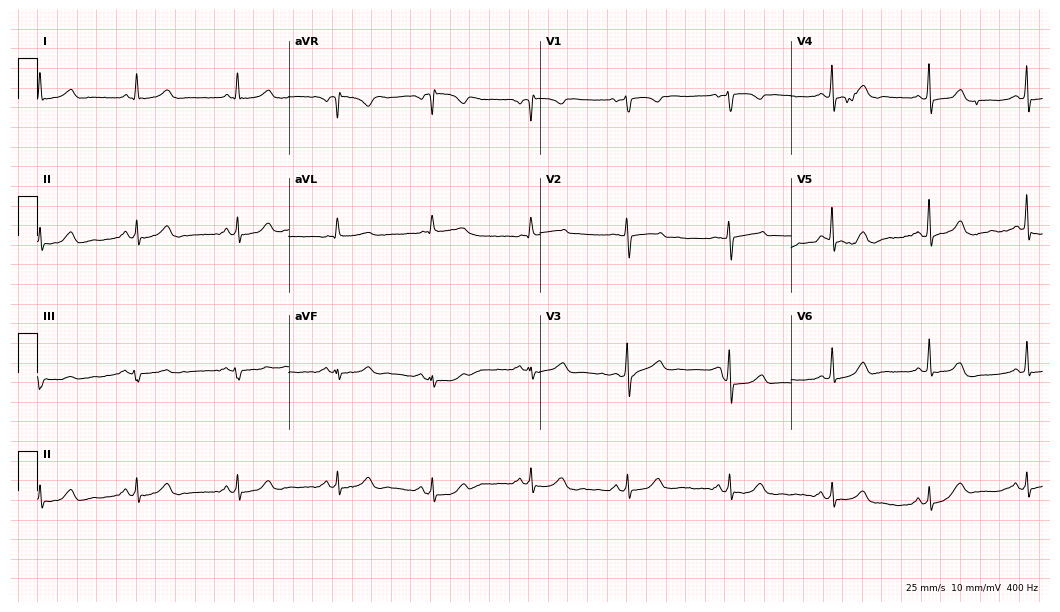
12-lead ECG from a female patient, 59 years old. Recorded interpretation: within normal limits.